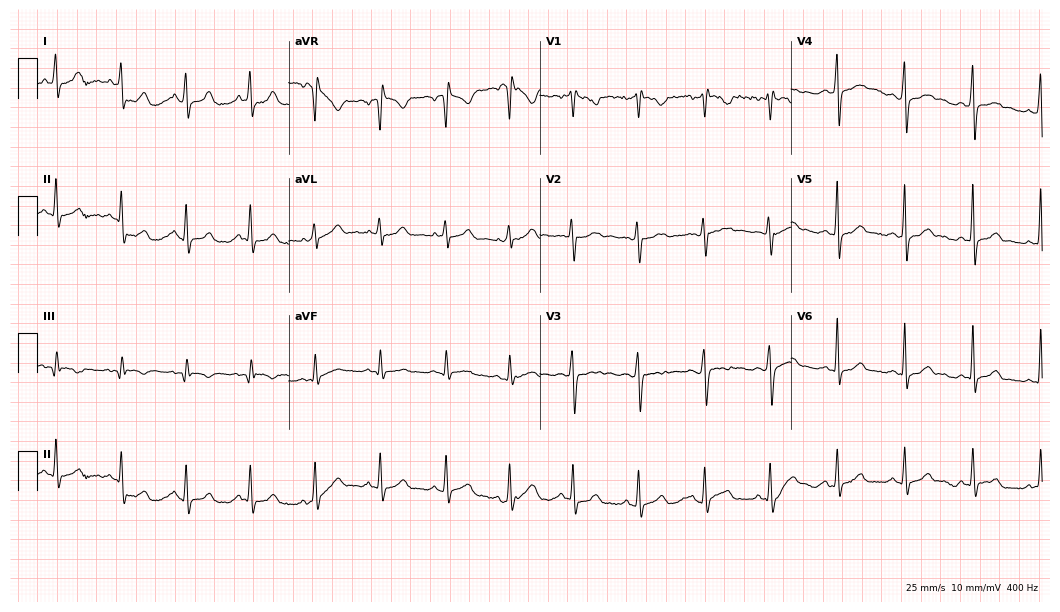
Electrocardiogram (10.2-second recording at 400 Hz), an 18-year-old woman. Of the six screened findings (first-degree AV block, right bundle branch block, left bundle branch block, sinus bradycardia, atrial fibrillation, sinus tachycardia), none is recorded.